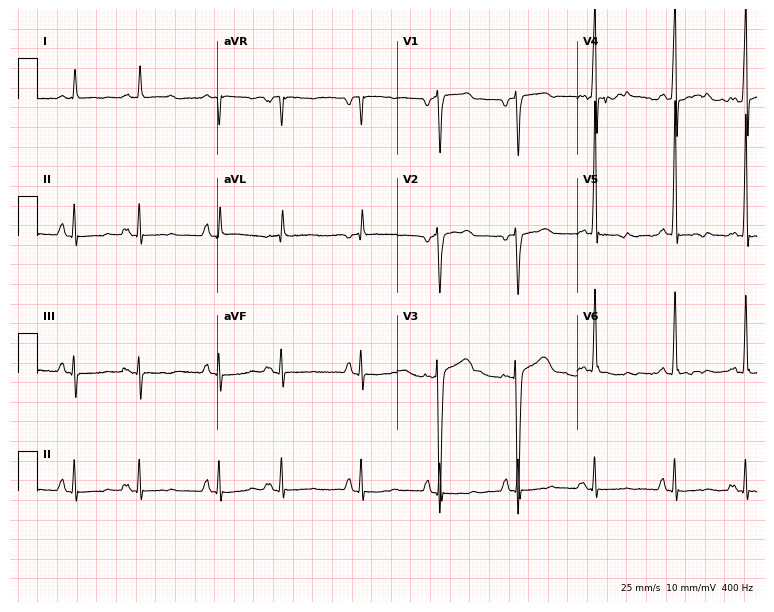
ECG — a male patient, 79 years old. Screened for six findings — first-degree AV block, right bundle branch block, left bundle branch block, sinus bradycardia, atrial fibrillation, sinus tachycardia — none is recorded. Other findings, if any, are not listed.